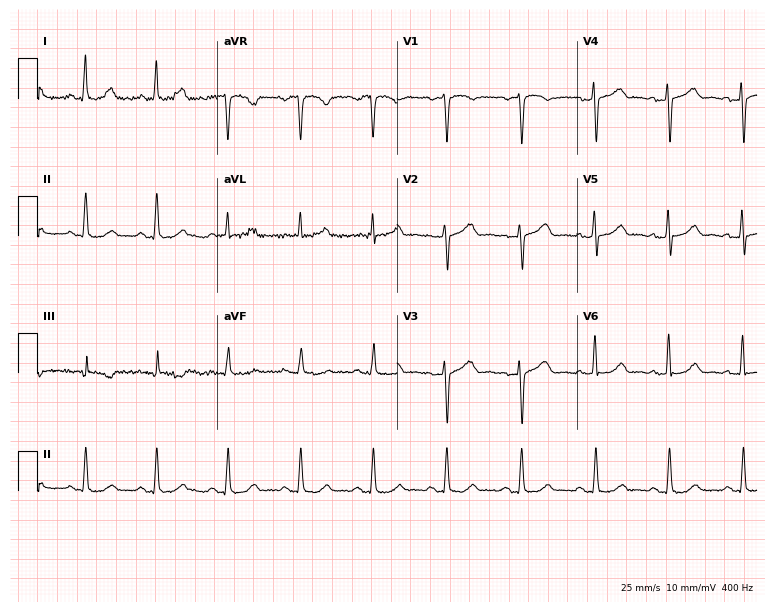
Electrocardiogram, a female patient, 57 years old. Overall reading on record: normal ECG.